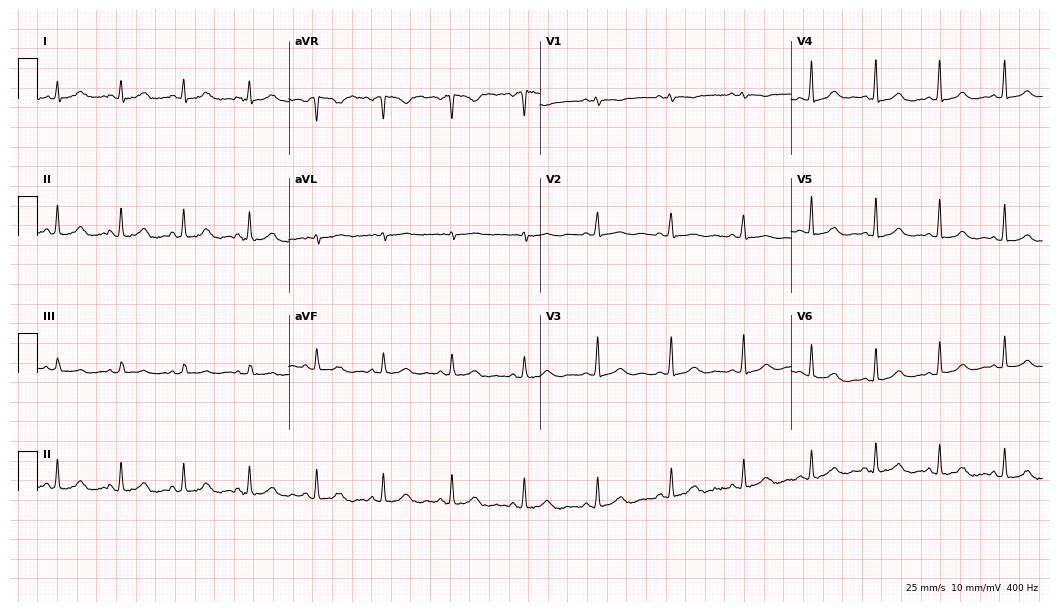
Standard 12-lead ECG recorded from a 38-year-old woman (10.2-second recording at 400 Hz). Read as a normal ECG.